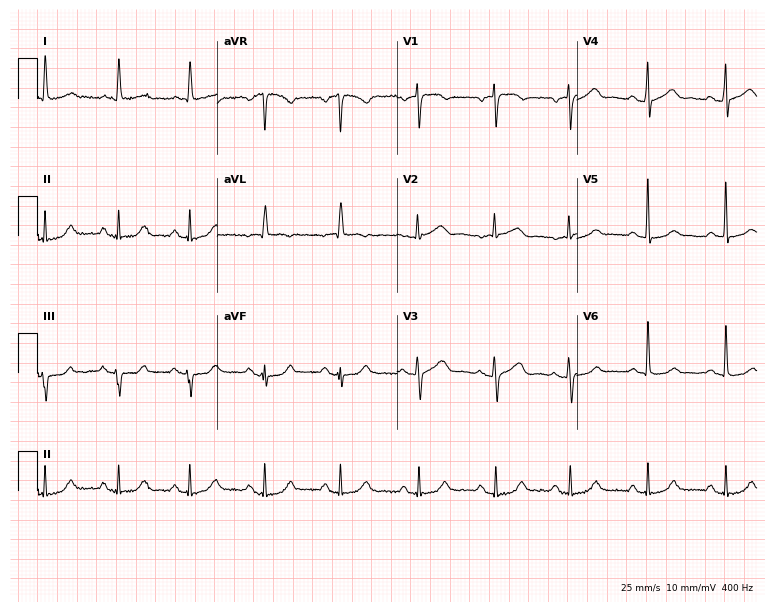
12-lead ECG from a female patient, 80 years old. Labelled as a normal ECG.